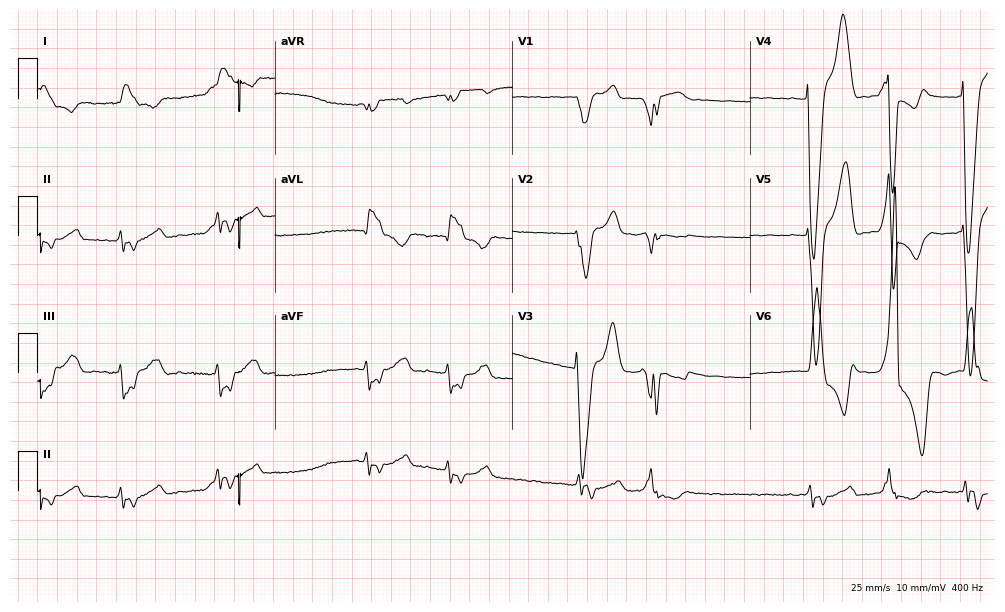
Electrocardiogram, a 72-year-old male patient. Of the six screened findings (first-degree AV block, right bundle branch block (RBBB), left bundle branch block (LBBB), sinus bradycardia, atrial fibrillation (AF), sinus tachycardia), none is recorded.